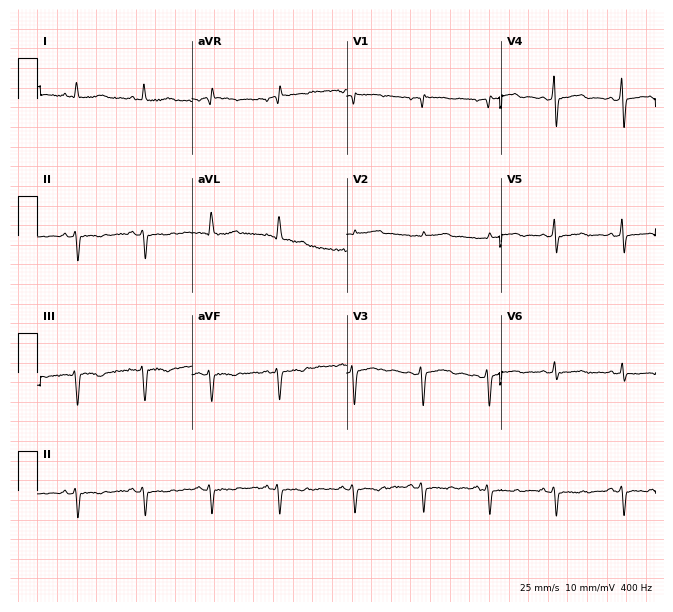
ECG — a 49-year-old woman. Screened for six findings — first-degree AV block, right bundle branch block, left bundle branch block, sinus bradycardia, atrial fibrillation, sinus tachycardia — none is recorded. Findings outside these six are not listed.